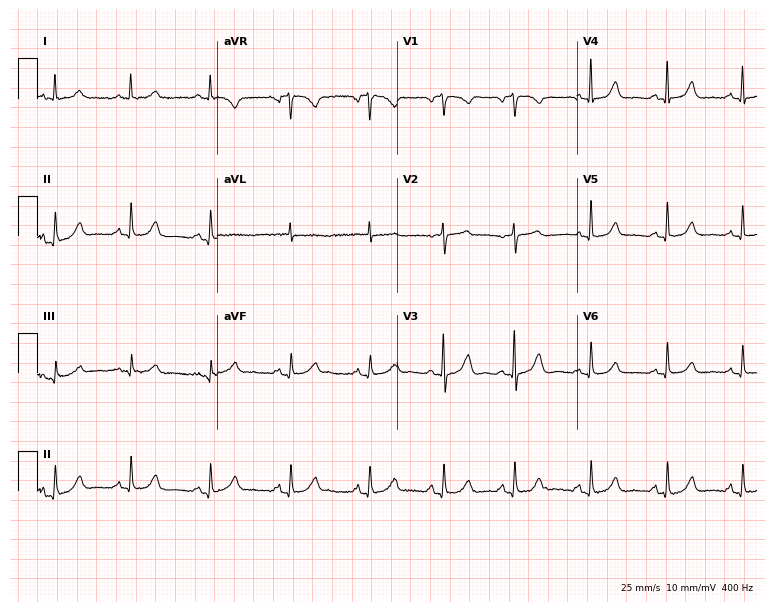
Standard 12-lead ECG recorded from a woman, 75 years old (7.3-second recording at 400 Hz). Read as a normal ECG.